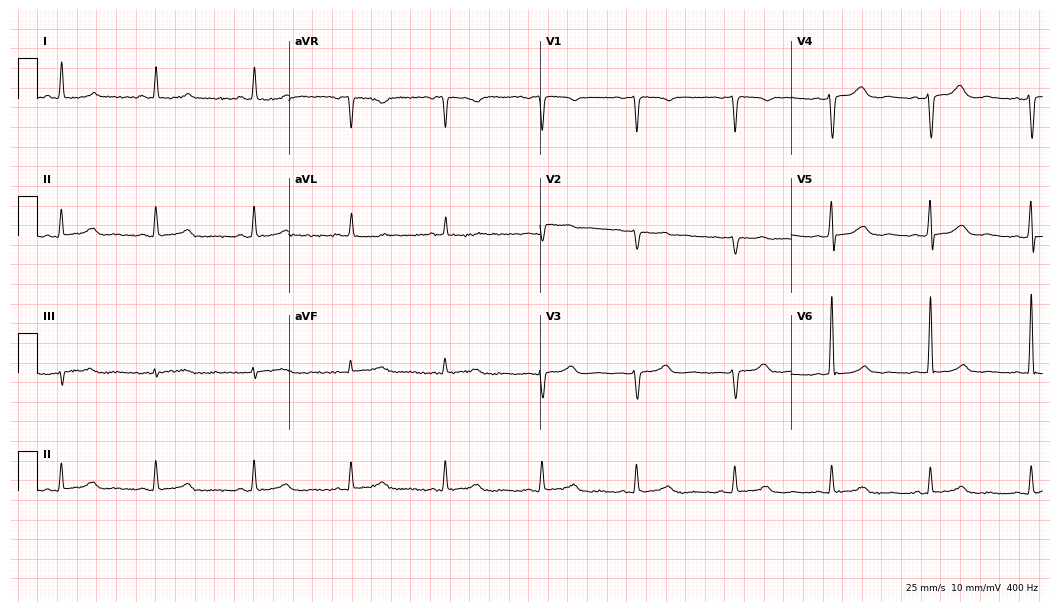
Electrocardiogram (10.2-second recording at 400 Hz), a 56-year-old female patient. Of the six screened findings (first-degree AV block, right bundle branch block (RBBB), left bundle branch block (LBBB), sinus bradycardia, atrial fibrillation (AF), sinus tachycardia), none is recorded. Only these six findings were labelled.